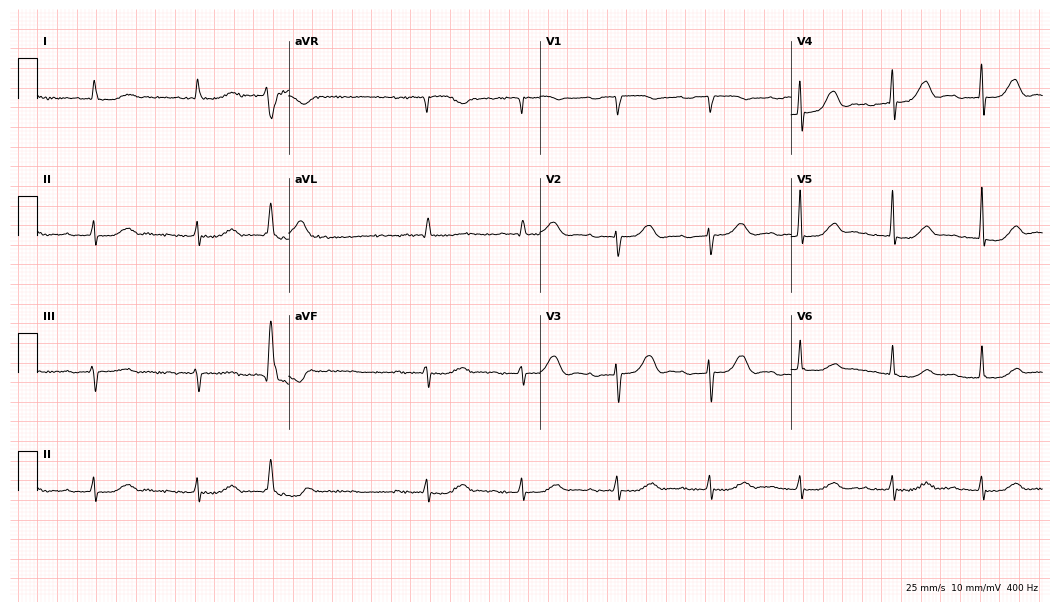
Electrocardiogram (10.2-second recording at 400 Hz), an 87-year-old male patient. Interpretation includes first-degree AV block, atrial fibrillation (AF).